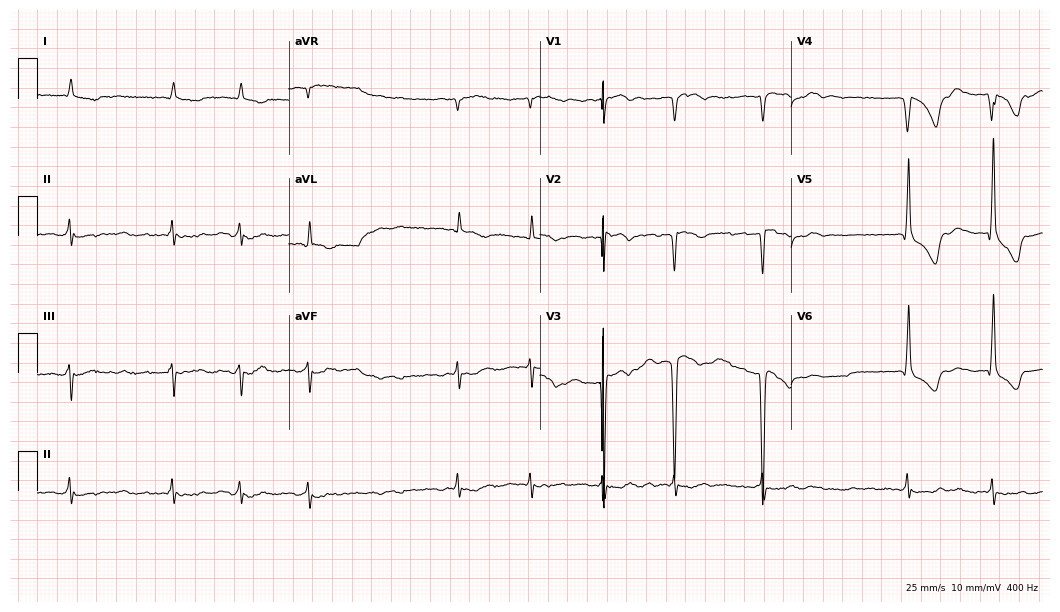
Electrocardiogram, a 69-year-old man. Interpretation includes atrial fibrillation.